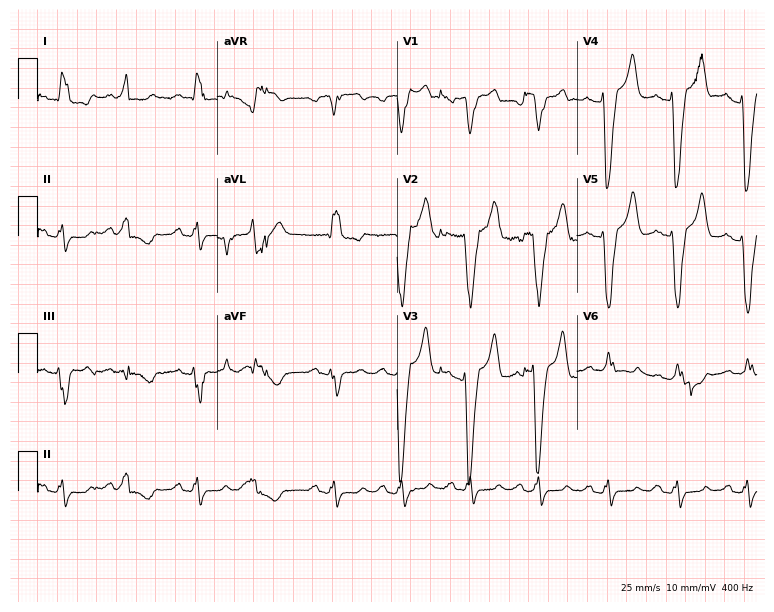
Standard 12-lead ECG recorded from a man, 61 years old (7.3-second recording at 400 Hz). The tracing shows left bundle branch block.